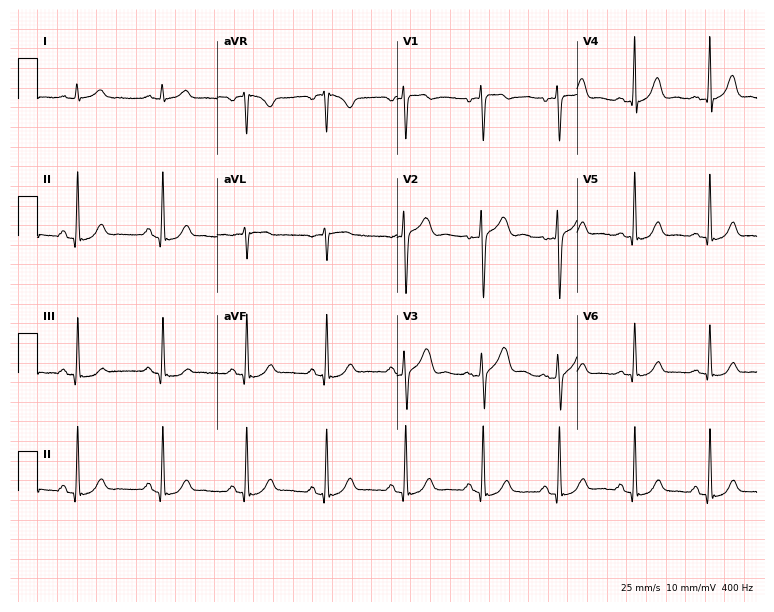
Resting 12-lead electrocardiogram. Patient: a man, 51 years old. Read as a normal ECG.